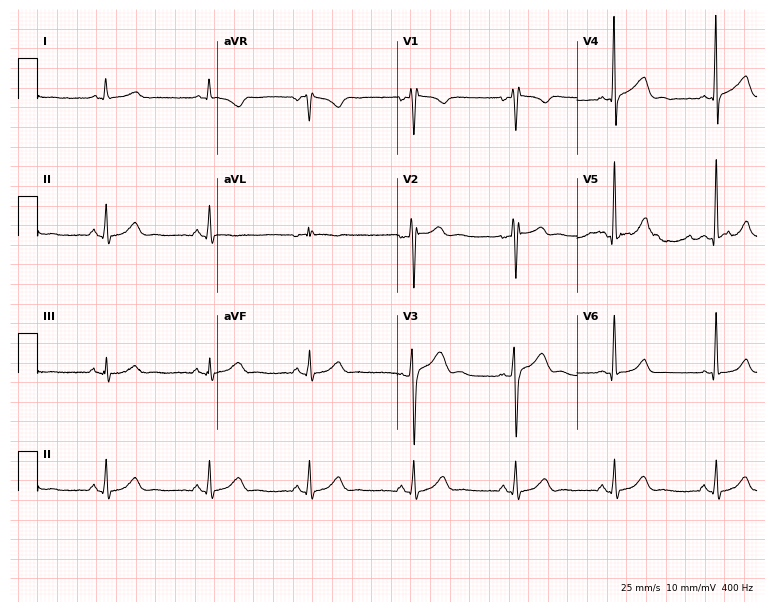
Standard 12-lead ECG recorded from a 38-year-old man (7.3-second recording at 400 Hz). None of these six findings is recorded: first-degree AV block, right bundle branch block (RBBB), left bundle branch block (LBBB), sinus bradycardia, atrial fibrillation (AF), sinus tachycardia.